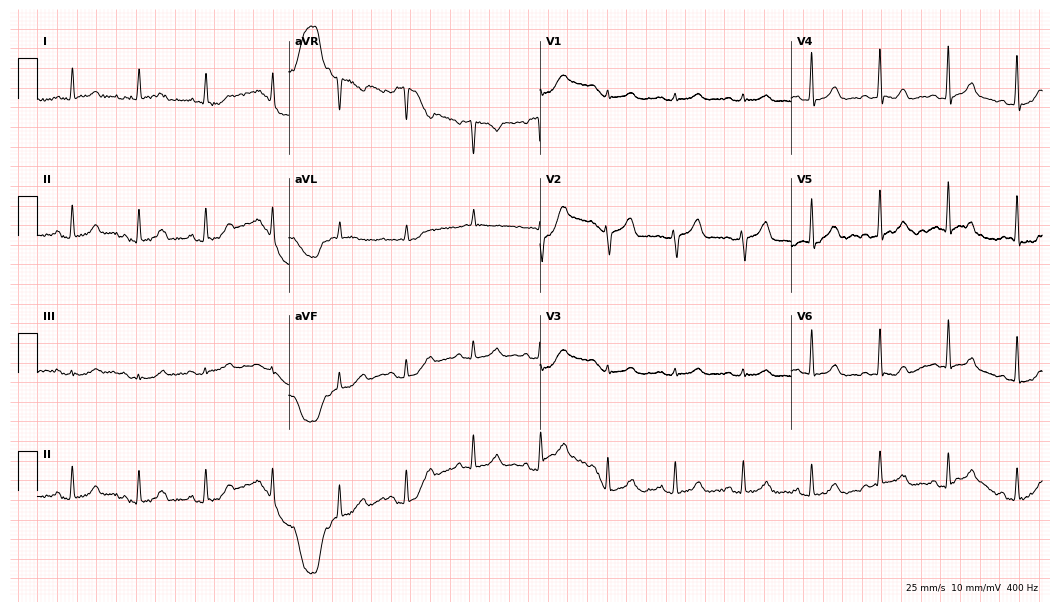
Electrocardiogram, a 72-year-old woman. Of the six screened findings (first-degree AV block, right bundle branch block, left bundle branch block, sinus bradycardia, atrial fibrillation, sinus tachycardia), none is recorded. Findings outside these six are not listed.